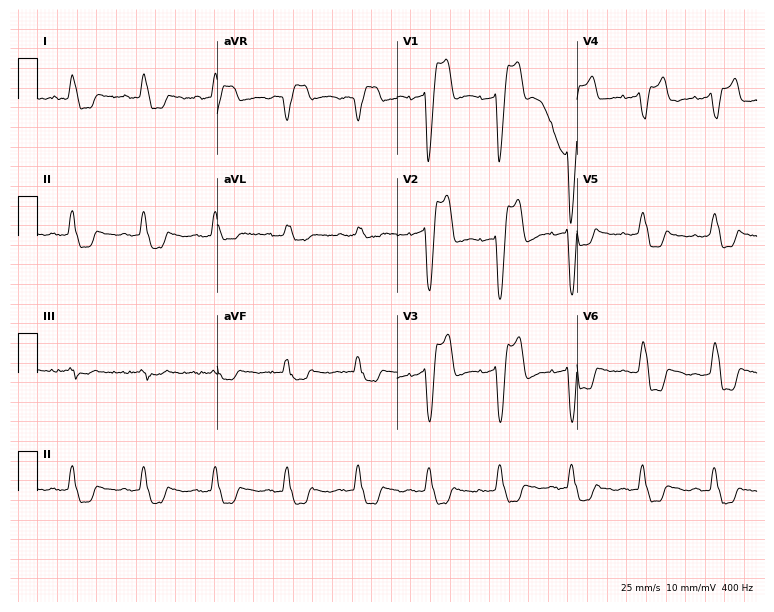
12-lead ECG from a man, 81 years old (7.3-second recording at 400 Hz). Shows left bundle branch block.